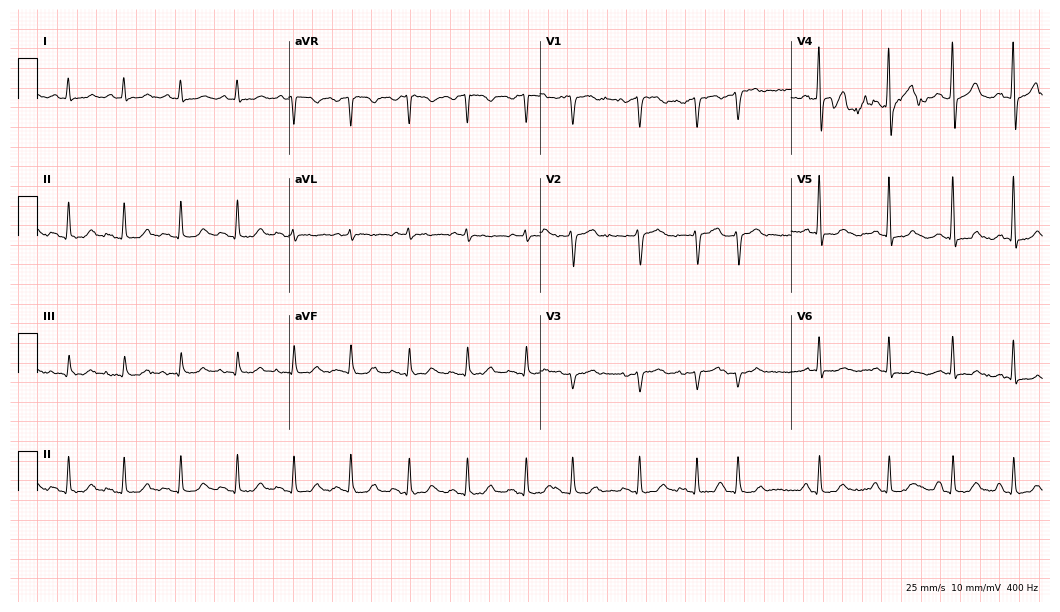
ECG (10.2-second recording at 400 Hz) — a male patient, 79 years old. Screened for six findings — first-degree AV block, right bundle branch block (RBBB), left bundle branch block (LBBB), sinus bradycardia, atrial fibrillation (AF), sinus tachycardia — none is recorded.